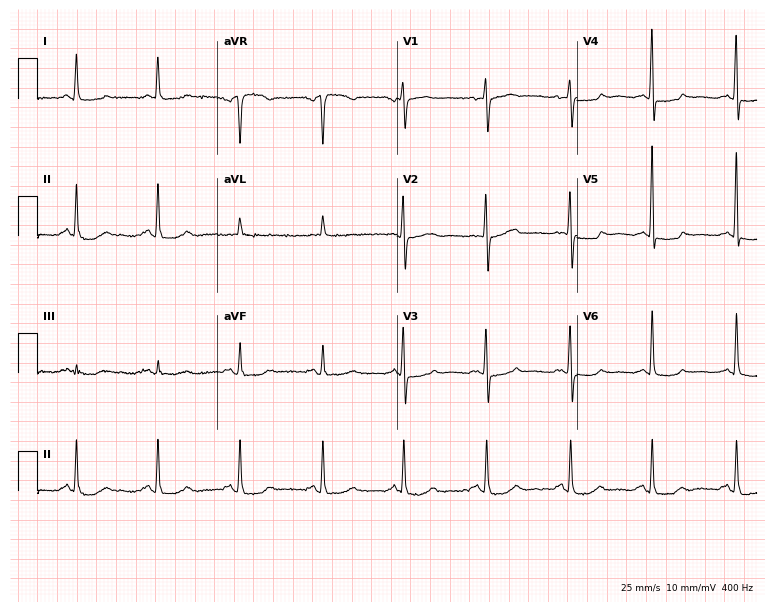
12-lead ECG from a woman, 74 years old (7.3-second recording at 400 Hz). No first-degree AV block, right bundle branch block, left bundle branch block, sinus bradycardia, atrial fibrillation or sinus tachycardia recorded for this tracing.